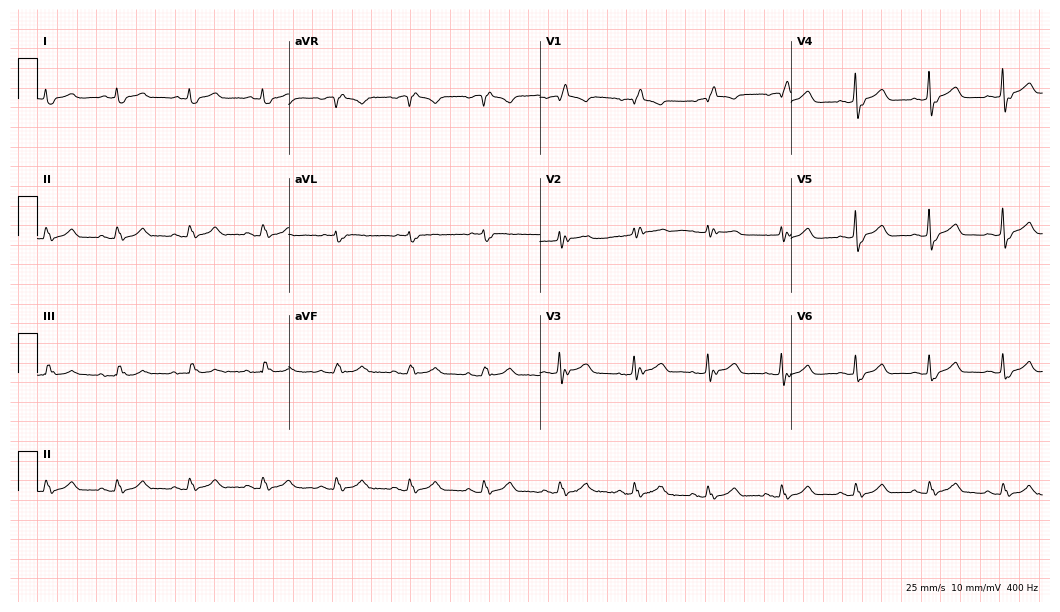
ECG (10.2-second recording at 400 Hz) — a male, 84 years old. Screened for six findings — first-degree AV block, right bundle branch block, left bundle branch block, sinus bradycardia, atrial fibrillation, sinus tachycardia — none is recorded.